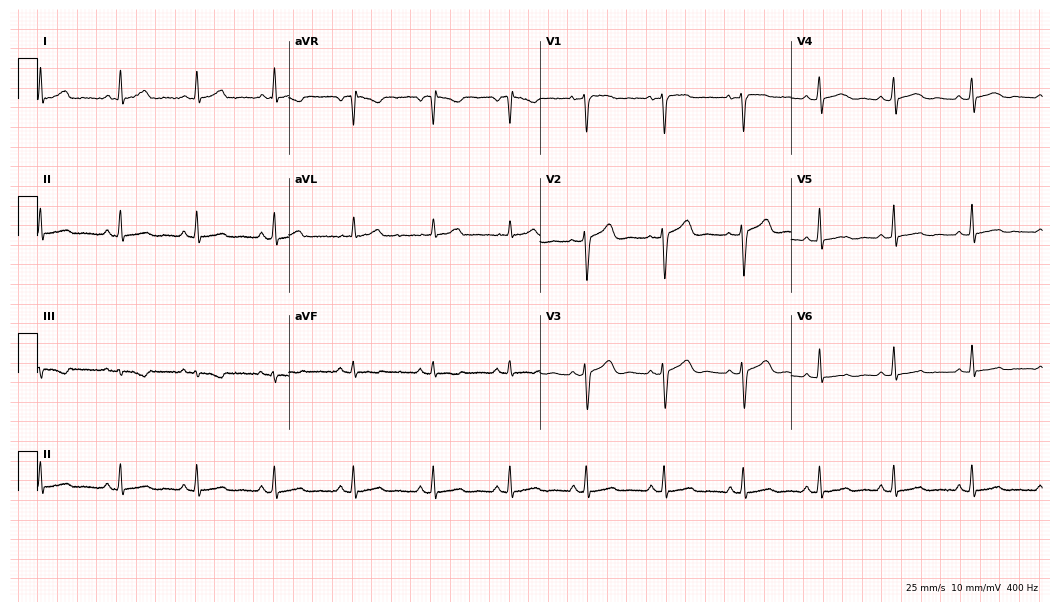
Electrocardiogram (10.2-second recording at 400 Hz), a 43-year-old female patient. Of the six screened findings (first-degree AV block, right bundle branch block, left bundle branch block, sinus bradycardia, atrial fibrillation, sinus tachycardia), none is recorded. Findings outside these six are not listed.